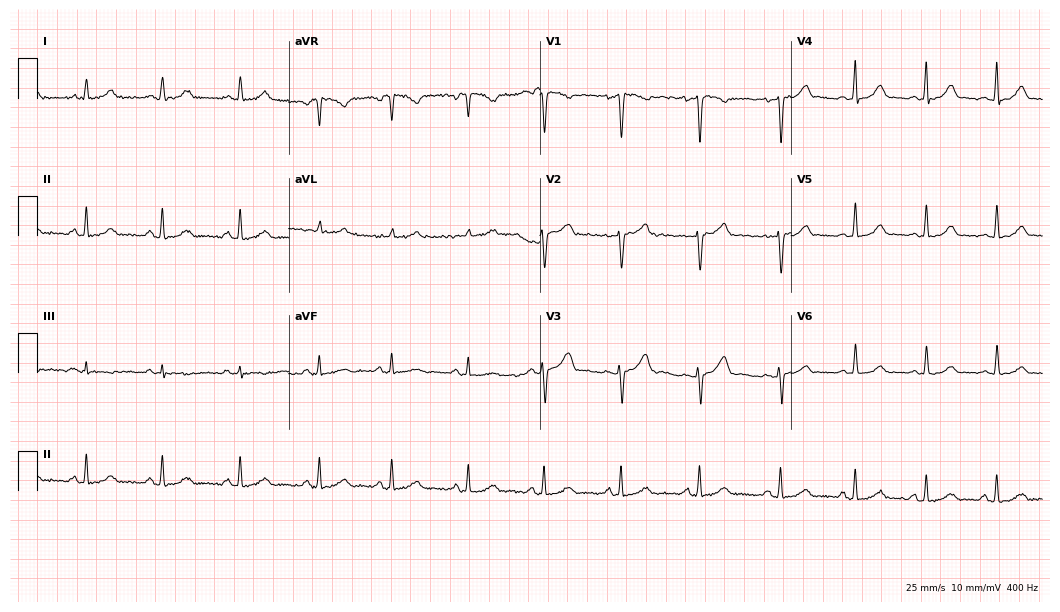
12-lead ECG from a 25-year-old female. Recorded interpretation: within normal limits.